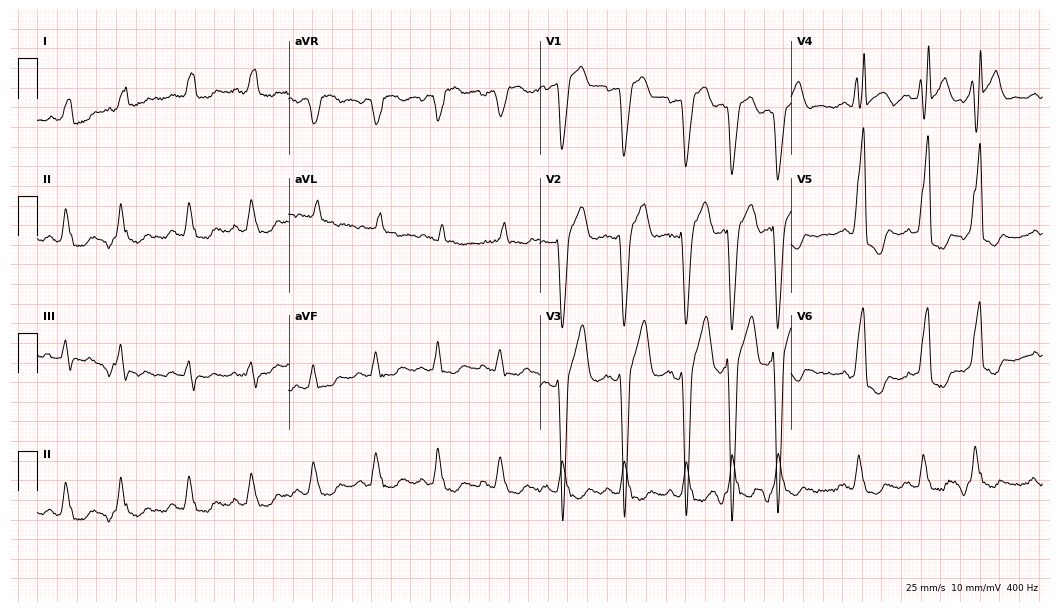
Resting 12-lead electrocardiogram. Patient: a male, 73 years old. The tracing shows left bundle branch block.